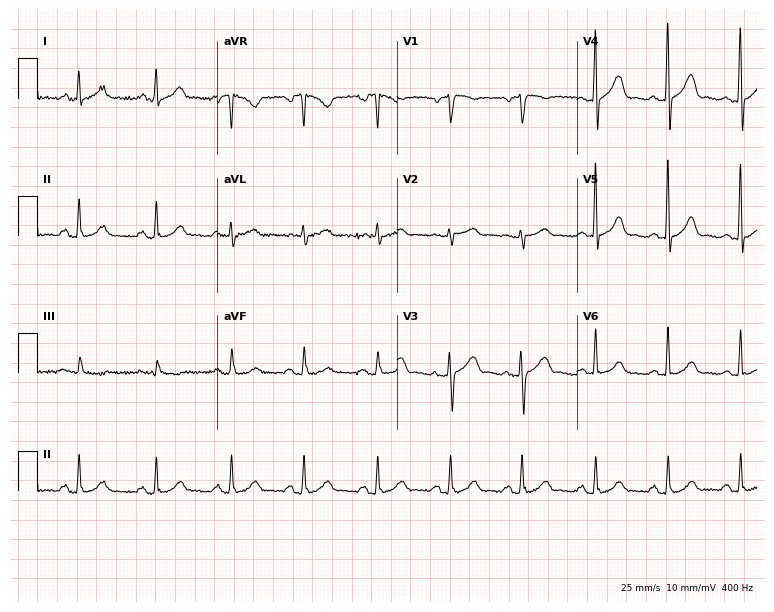
12-lead ECG from a 55-year-old female. Recorded interpretation: within normal limits.